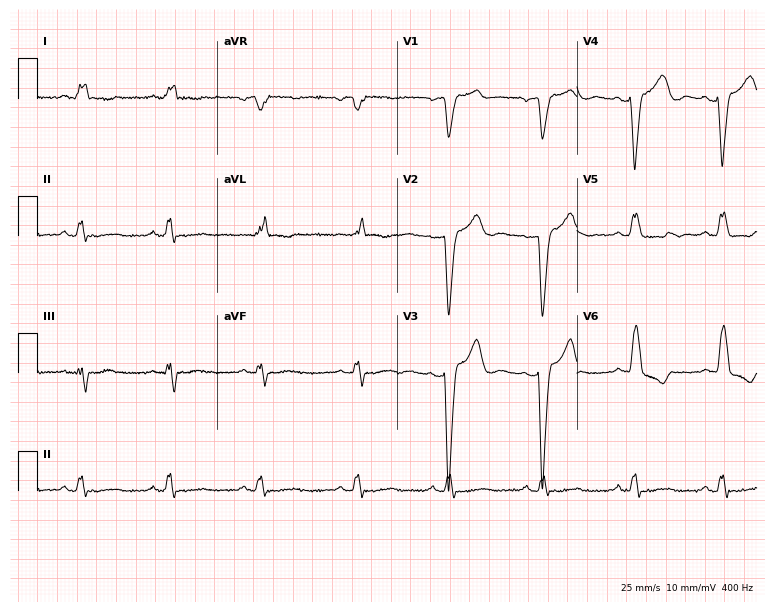
12-lead ECG from a 51-year-old female. Findings include left bundle branch block.